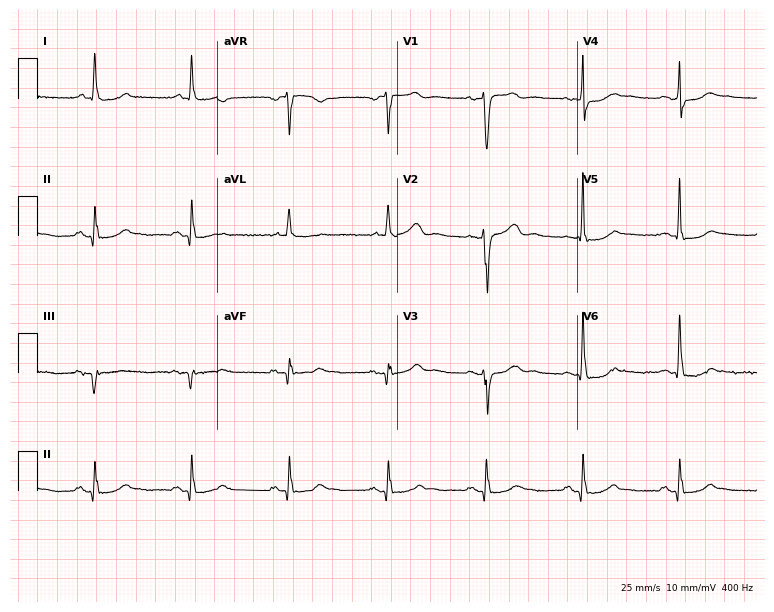
Standard 12-lead ECG recorded from a 67-year-old woman. None of these six findings is recorded: first-degree AV block, right bundle branch block, left bundle branch block, sinus bradycardia, atrial fibrillation, sinus tachycardia.